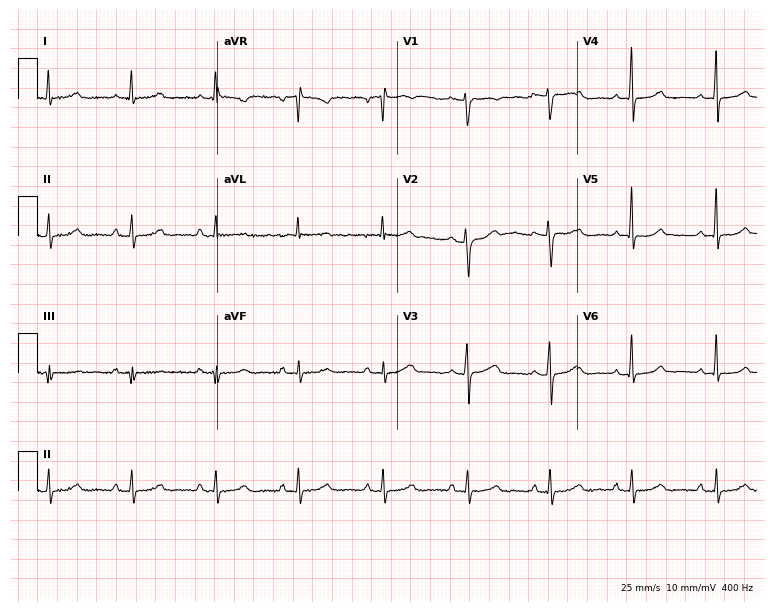
ECG — a 56-year-old female. Labelled as a normal ECG.